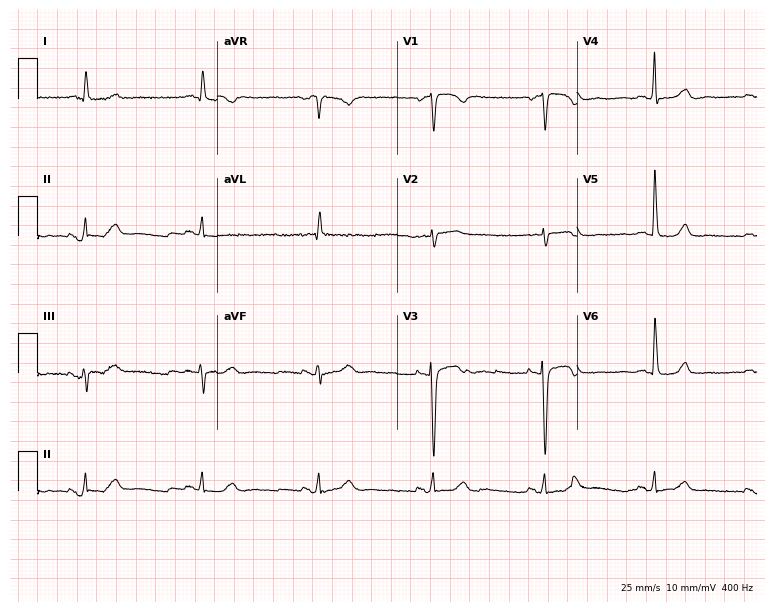
Standard 12-lead ECG recorded from a 71-year-old female. None of these six findings is recorded: first-degree AV block, right bundle branch block (RBBB), left bundle branch block (LBBB), sinus bradycardia, atrial fibrillation (AF), sinus tachycardia. Findings outside these six are not listed.